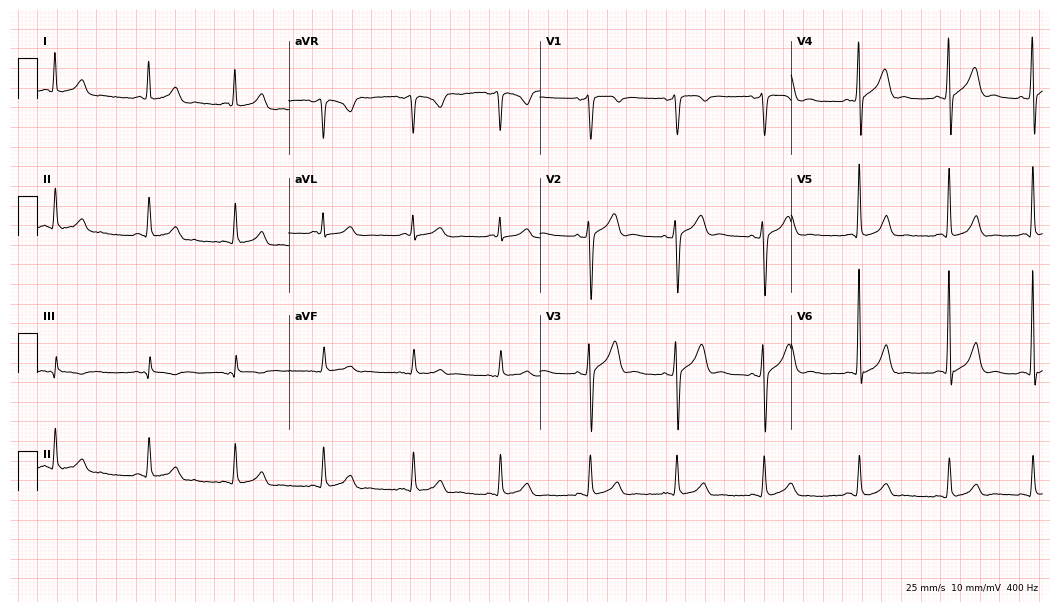
Standard 12-lead ECG recorded from a 35-year-old male (10.2-second recording at 400 Hz). Read as a normal ECG.